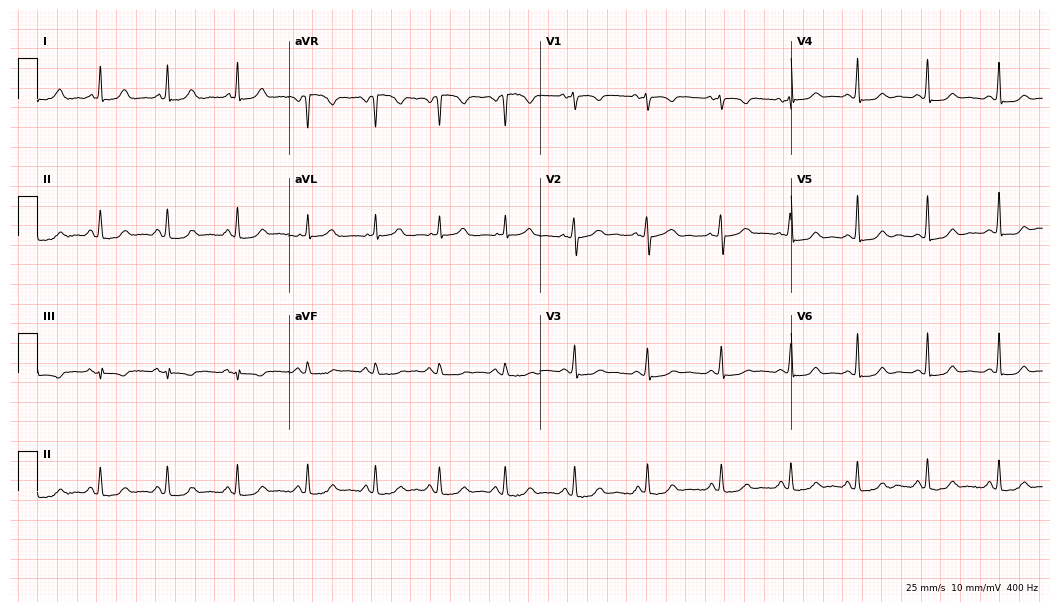
12-lead ECG from a woman, 41 years old. Labelled as a normal ECG.